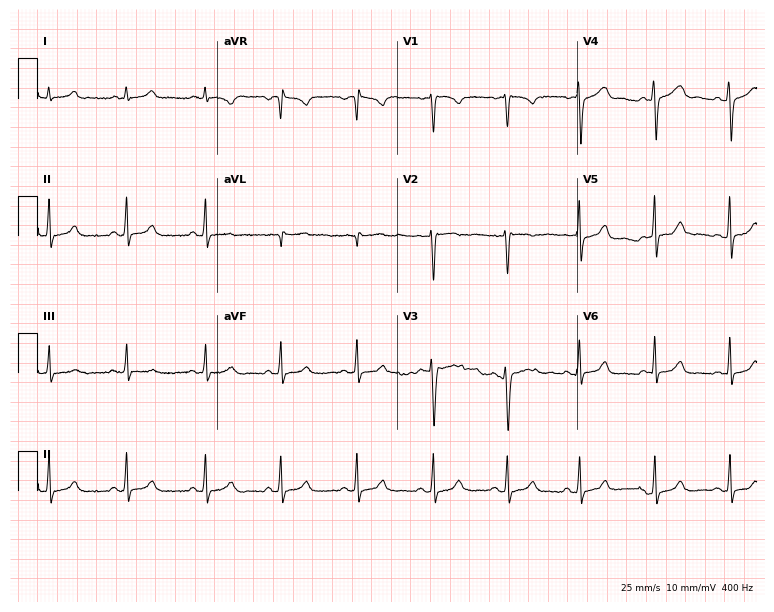
12-lead ECG from a female, 33 years old. Recorded interpretation: within normal limits.